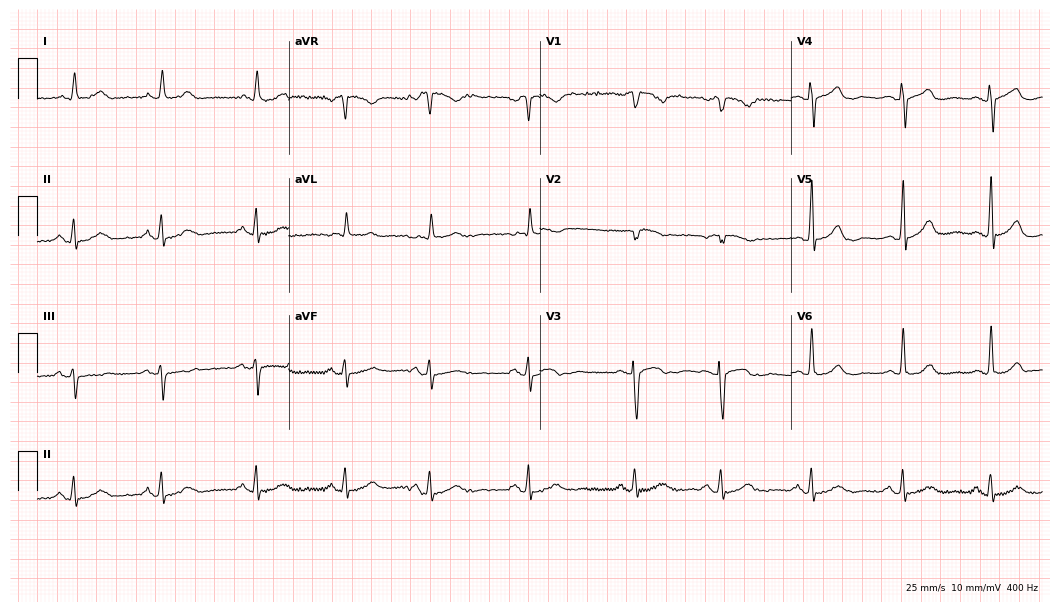
Resting 12-lead electrocardiogram. Patient: a woman, 84 years old. None of these six findings is recorded: first-degree AV block, right bundle branch block (RBBB), left bundle branch block (LBBB), sinus bradycardia, atrial fibrillation (AF), sinus tachycardia. Findings outside these six are not listed.